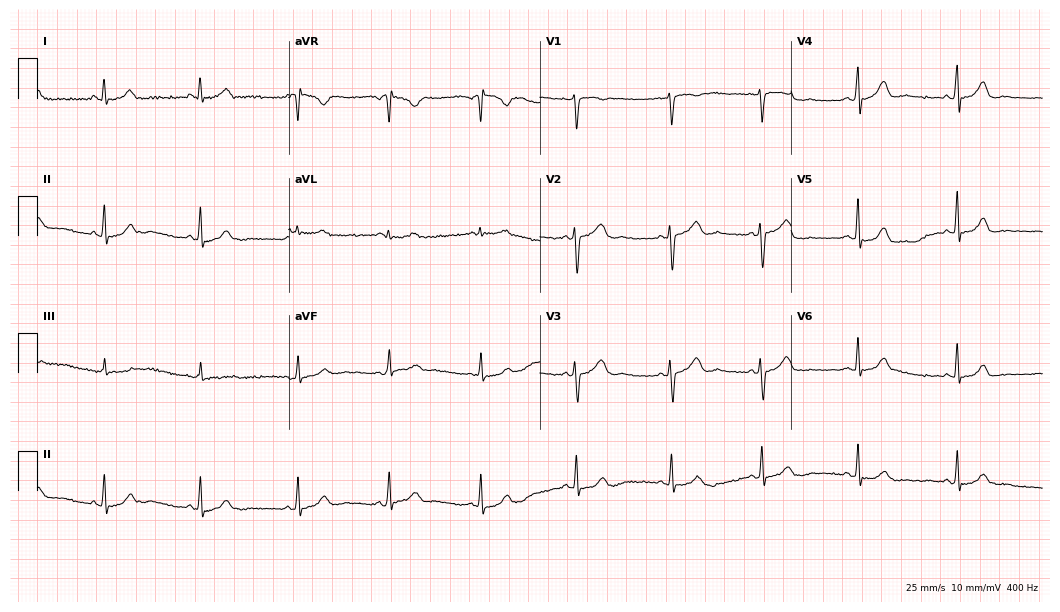
Electrocardiogram (10.2-second recording at 400 Hz), a woman, 31 years old. Overall reading on record: normal ECG.